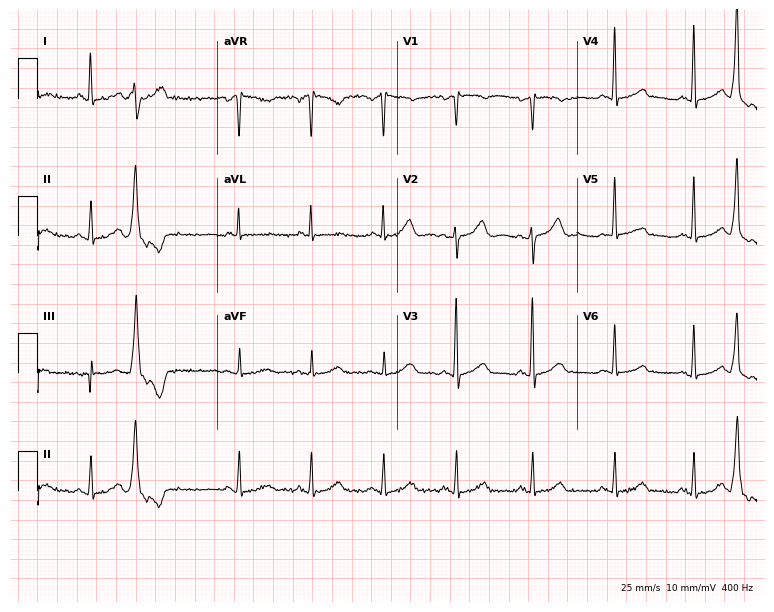
Electrocardiogram, a 63-year-old female patient. Of the six screened findings (first-degree AV block, right bundle branch block, left bundle branch block, sinus bradycardia, atrial fibrillation, sinus tachycardia), none is recorded. Findings outside these six are not listed.